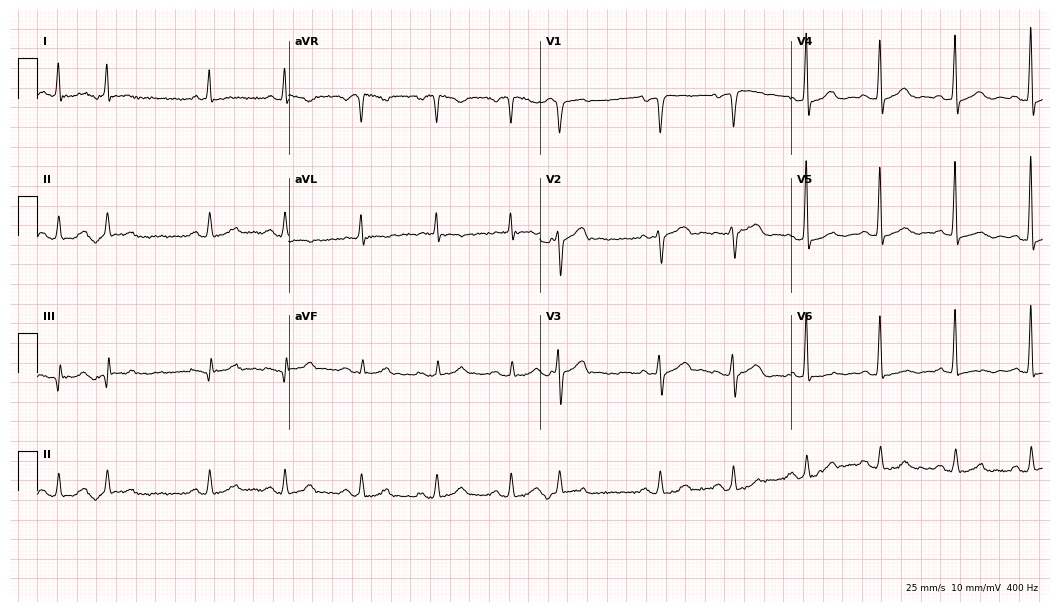
ECG (10.2-second recording at 400 Hz) — a male patient, 75 years old. Screened for six findings — first-degree AV block, right bundle branch block (RBBB), left bundle branch block (LBBB), sinus bradycardia, atrial fibrillation (AF), sinus tachycardia — none is recorded.